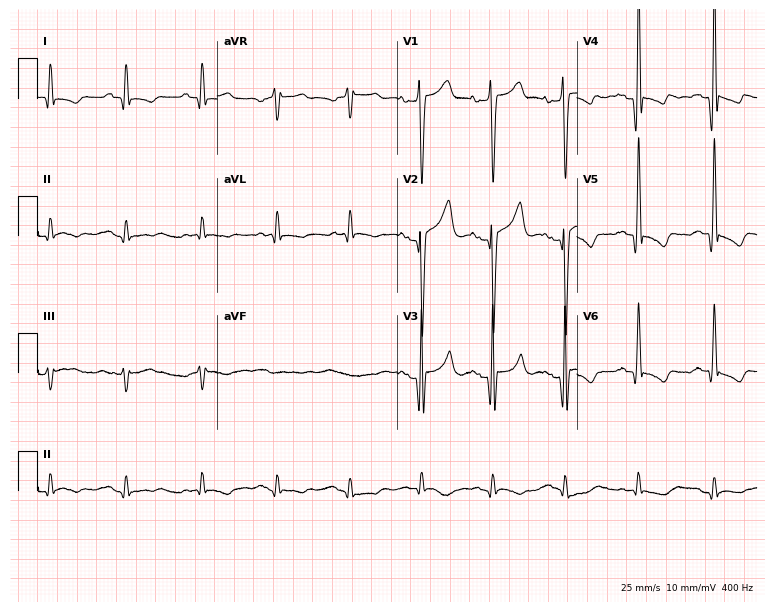
ECG (7.3-second recording at 400 Hz) — a male patient, 49 years old. Labelled as a normal ECG.